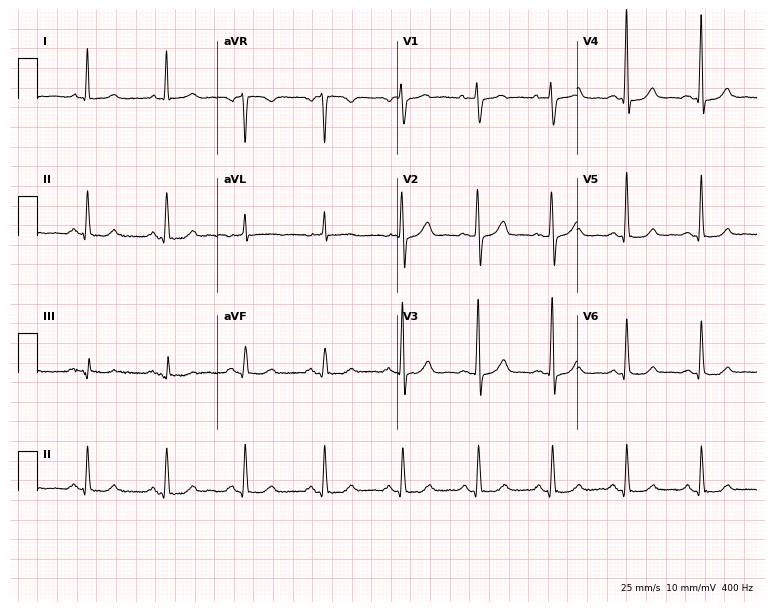
ECG — a woman, 53 years old. Labelled as a normal ECG.